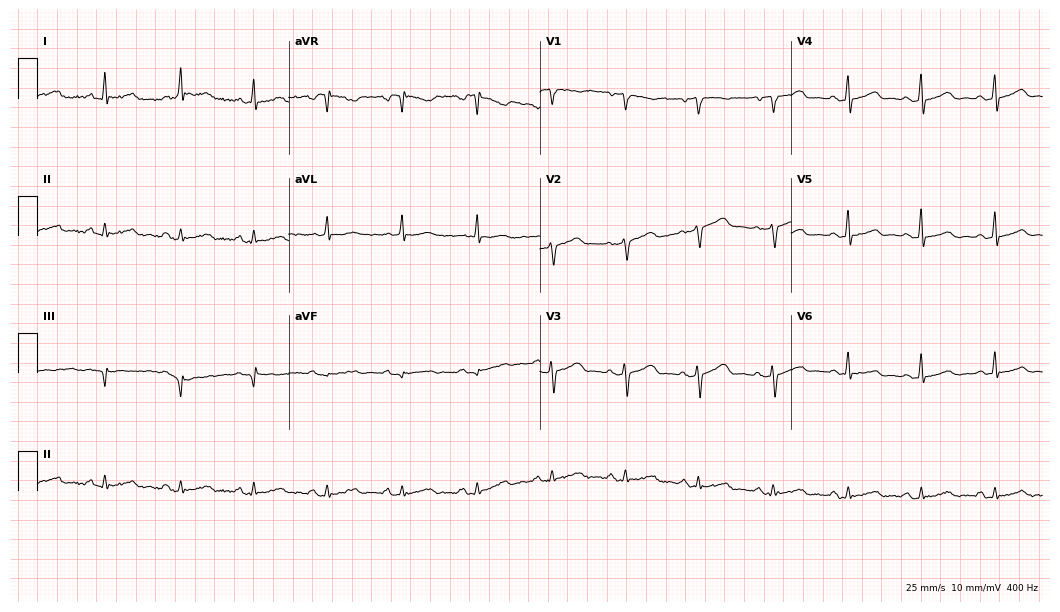
Resting 12-lead electrocardiogram (10.2-second recording at 400 Hz). Patient: a female, 50 years old. Read as a normal ECG.